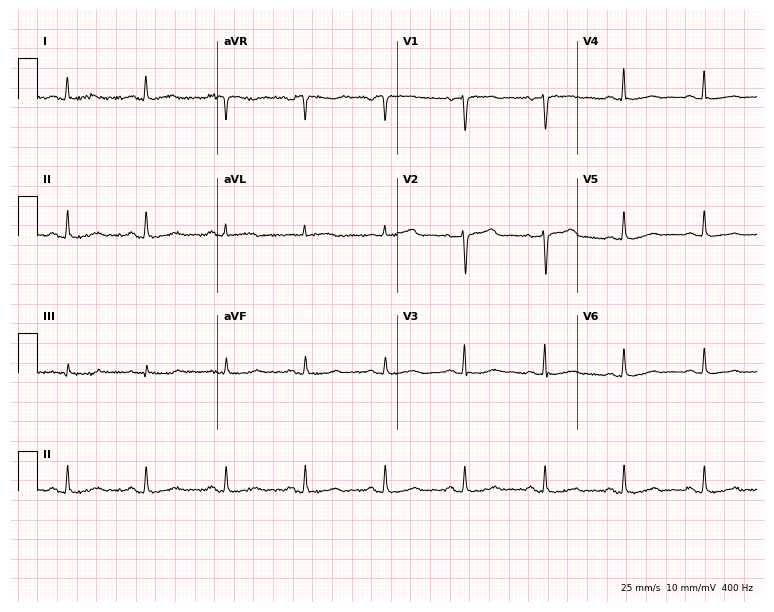
Standard 12-lead ECG recorded from a female patient, 71 years old (7.3-second recording at 400 Hz). Read as a normal ECG.